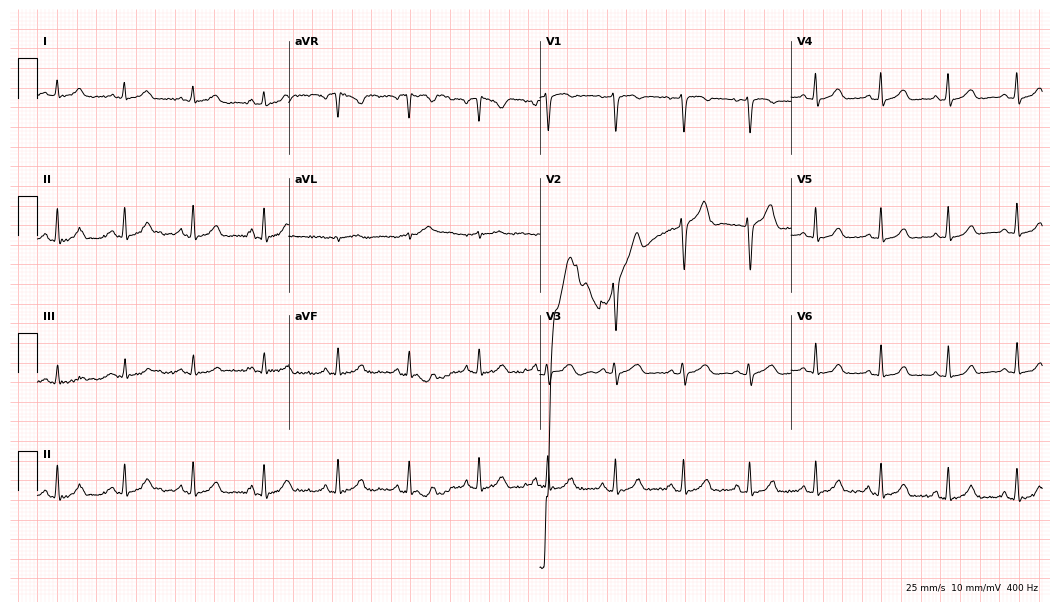
Standard 12-lead ECG recorded from a 37-year-old woman. Read as a normal ECG.